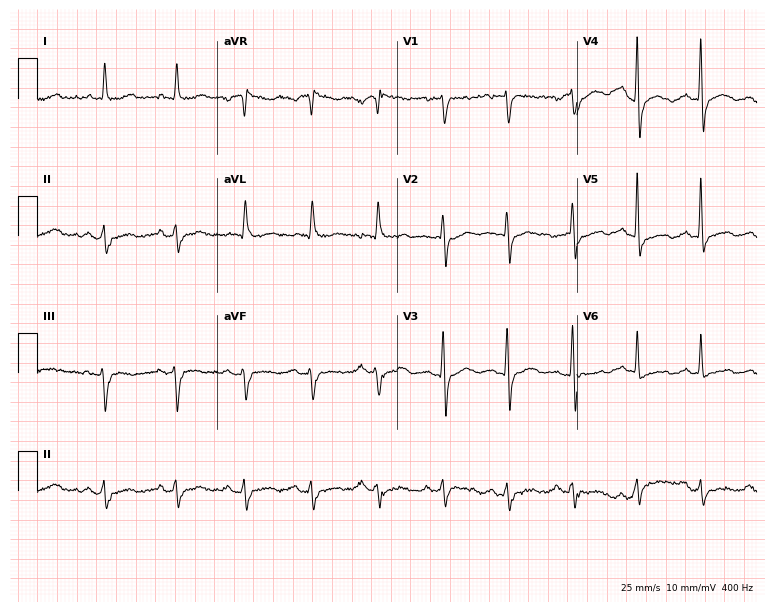
12-lead ECG from a woman, 80 years old. Screened for six findings — first-degree AV block, right bundle branch block (RBBB), left bundle branch block (LBBB), sinus bradycardia, atrial fibrillation (AF), sinus tachycardia — none is recorded.